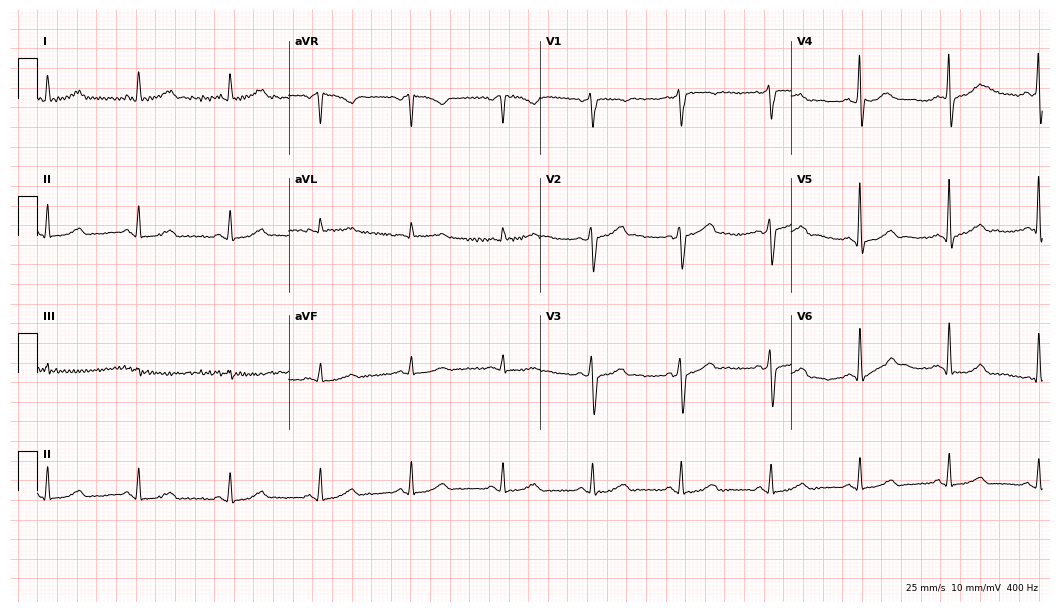
Standard 12-lead ECG recorded from a 56-year-old male patient. Read as a normal ECG.